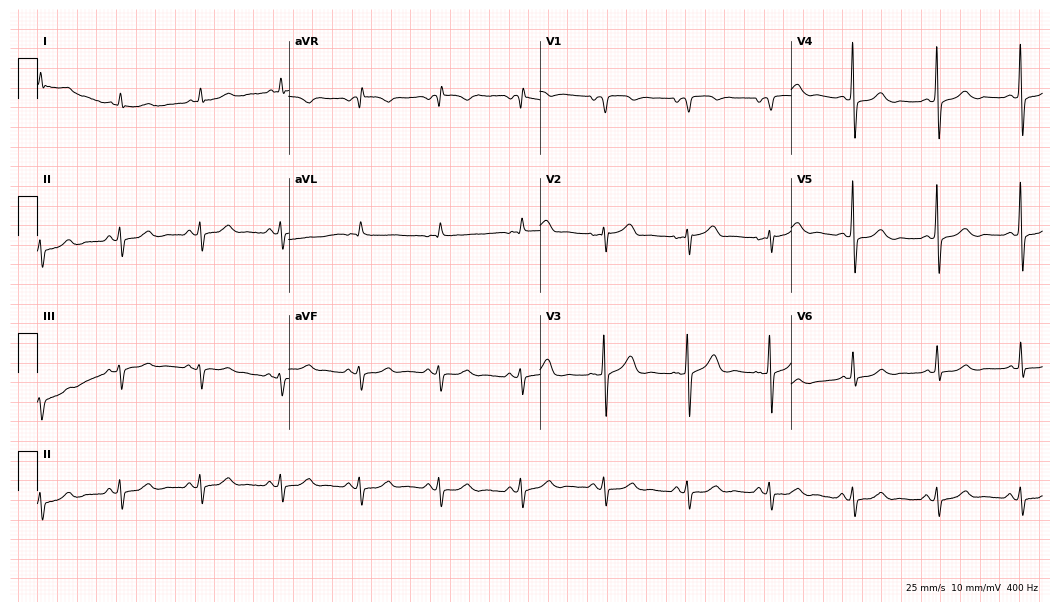
ECG (10.2-second recording at 400 Hz) — a man, 74 years old. Screened for six findings — first-degree AV block, right bundle branch block (RBBB), left bundle branch block (LBBB), sinus bradycardia, atrial fibrillation (AF), sinus tachycardia — none is recorded.